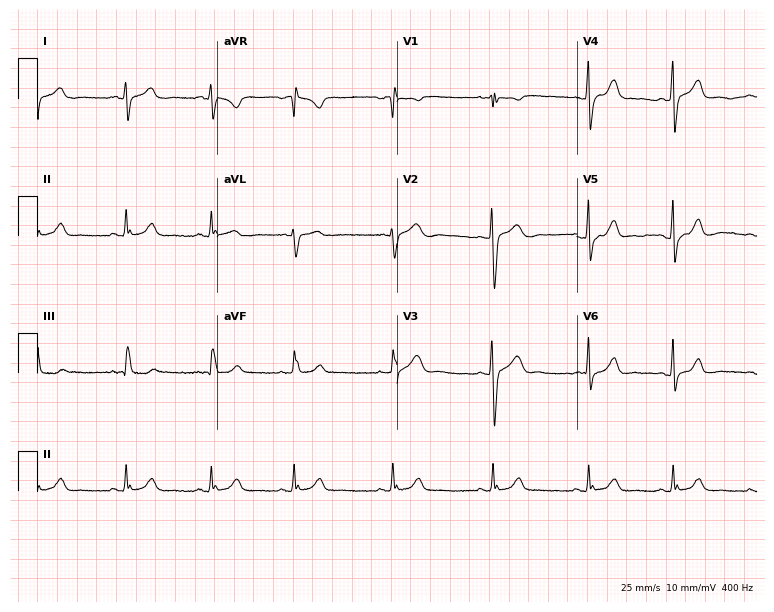
ECG — a 24-year-old female patient. Screened for six findings — first-degree AV block, right bundle branch block, left bundle branch block, sinus bradycardia, atrial fibrillation, sinus tachycardia — none is recorded. Only these six findings were labelled.